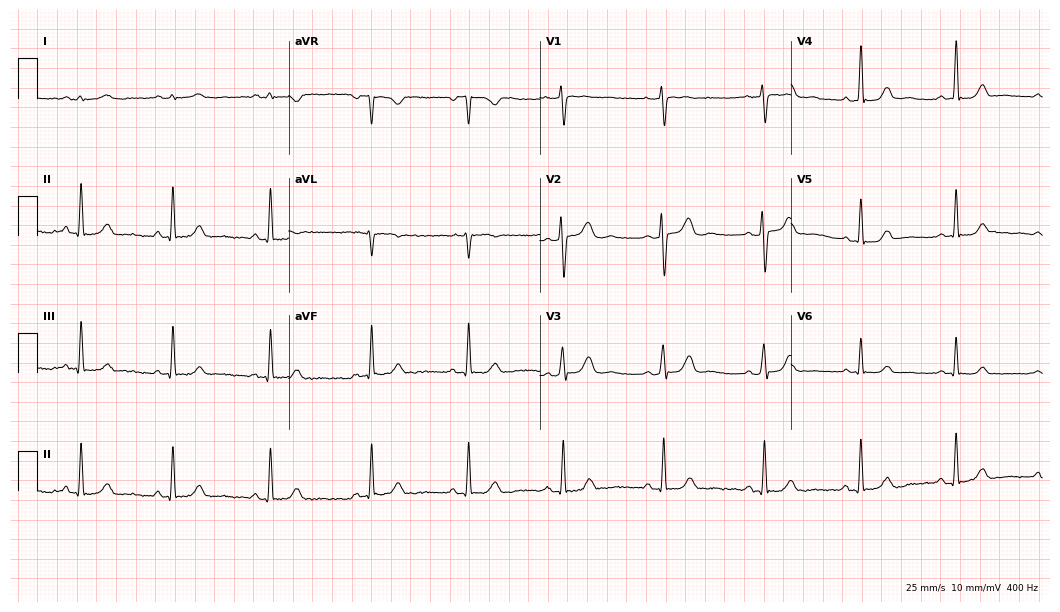
12-lead ECG (10.2-second recording at 400 Hz) from a female patient, 41 years old. Screened for six findings — first-degree AV block, right bundle branch block (RBBB), left bundle branch block (LBBB), sinus bradycardia, atrial fibrillation (AF), sinus tachycardia — none is recorded.